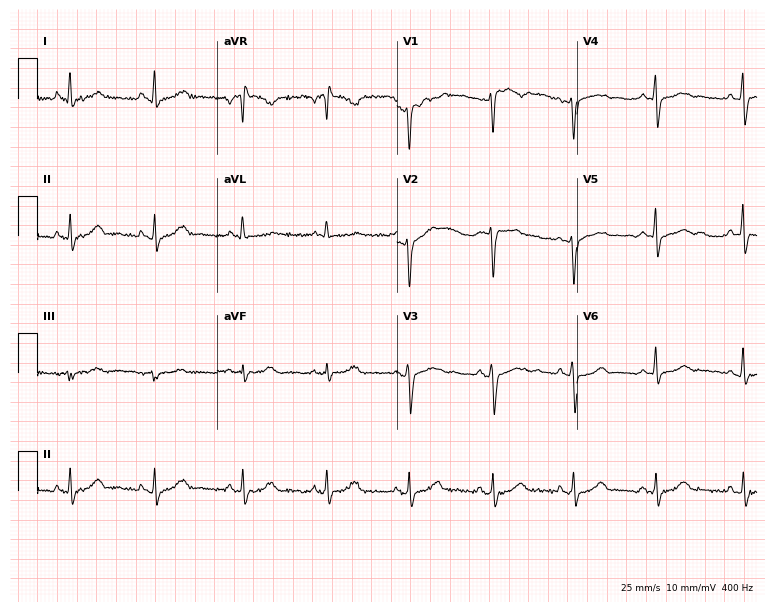
Standard 12-lead ECG recorded from a female, 46 years old (7.3-second recording at 400 Hz). Read as a normal ECG.